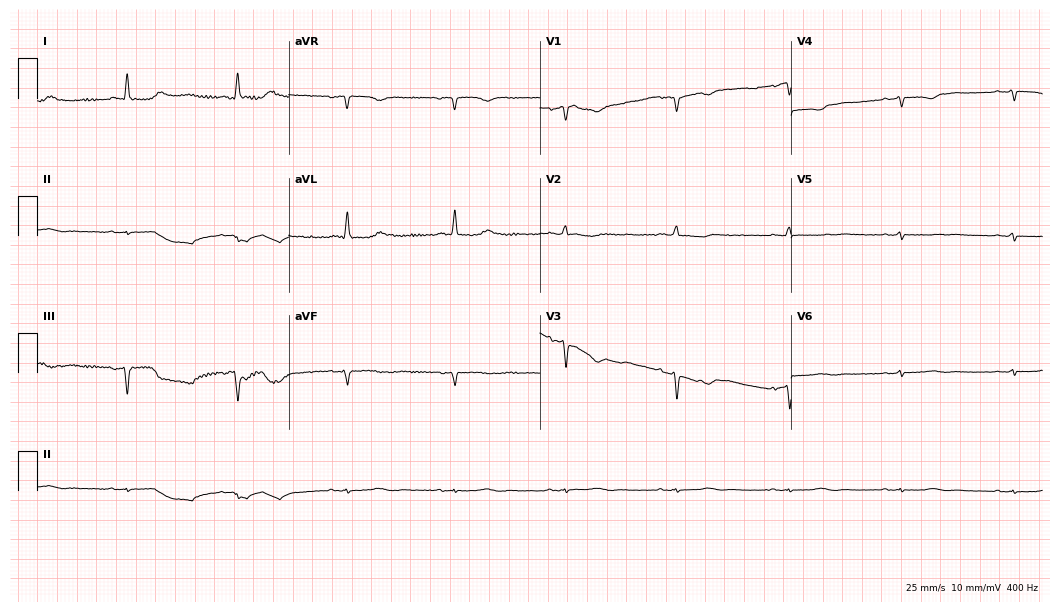
ECG (10.2-second recording at 400 Hz) — a female, 75 years old. Screened for six findings — first-degree AV block, right bundle branch block (RBBB), left bundle branch block (LBBB), sinus bradycardia, atrial fibrillation (AF), sinus tachycardia — none is recorded. Other findings, if any, are not listed.